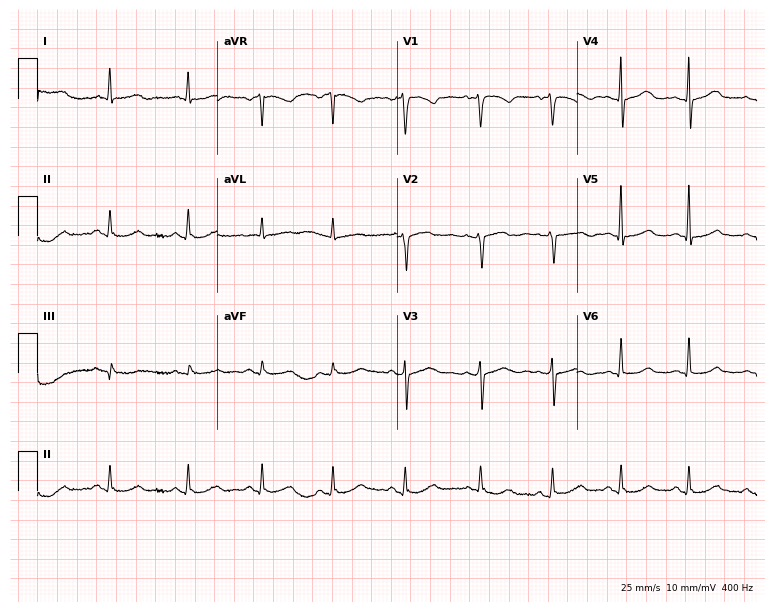
12-lead ECG (7.3-second recording at 400 Hz) from a woman, 62 years old. Screened for six findings — first-degree AV block, right bundle branch block, left bundle branch block, sinus bradycardia, atrial fibrillation, sinus tachycardia — none is recorded. Other findings, if any, are not listed.